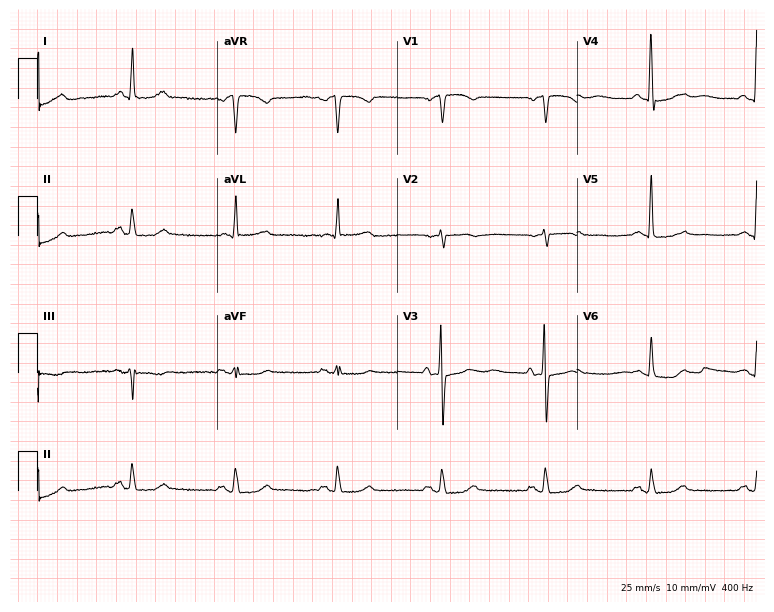
12-lead ECG from a female patient, 68 years old. Screened for six findings — first-degree AV block, right bundle branch block, left bundle branch block, sinus bradycardia, atrial fibrillation, sinus tachycardia — none is recorded. Only these six findings were labelled.